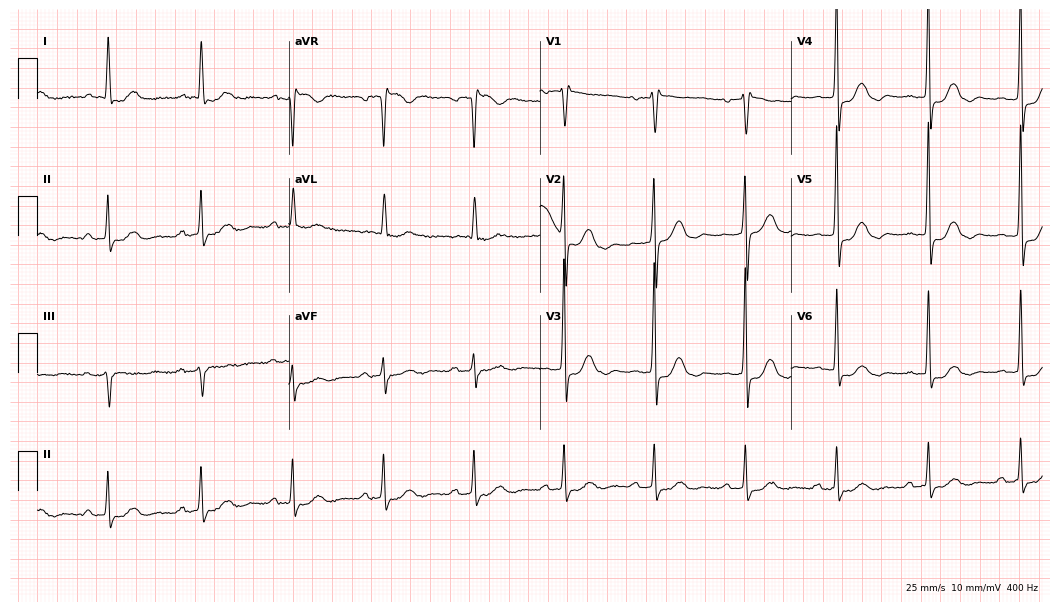
12-lead ECG from a 79-year-old woman. Shows first-degree AV block.